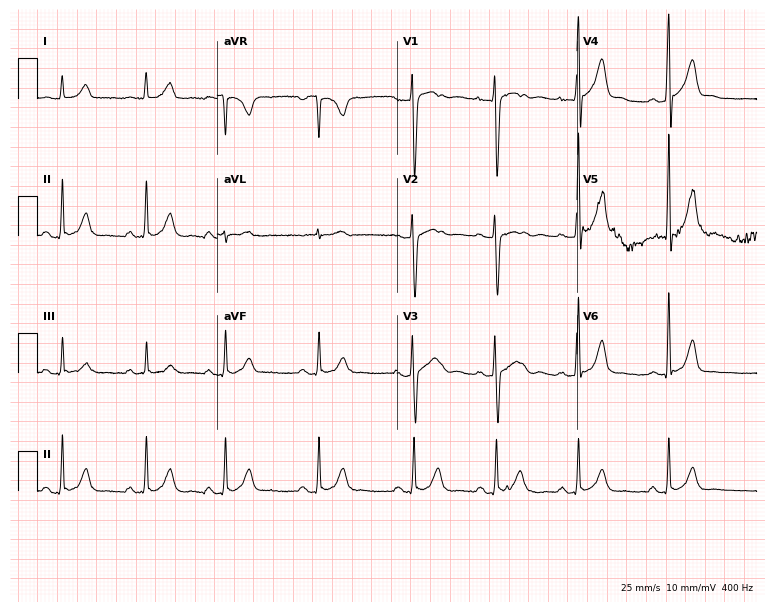
Electrocardiogram (7.3-second recording at 400 Hz), a male patient, 18 years old. Overall reading on record: normal ECG.